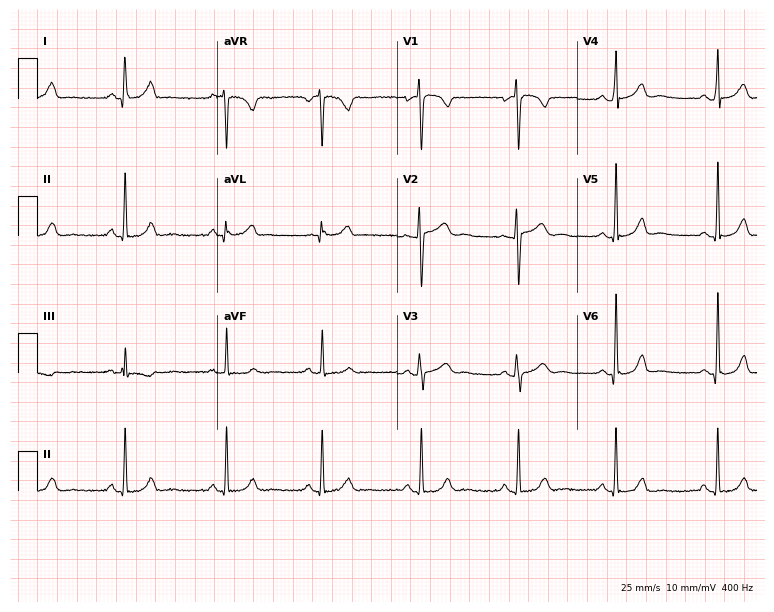
Resting 12-lead electrocardiogram. Patient: a 27-year-old woman. None of these six findings is recorded: first-degree AV block, right bundle branch block, left bundle branch block, sinus bradycardia, atrial fibrillation, sinus tachycardia.